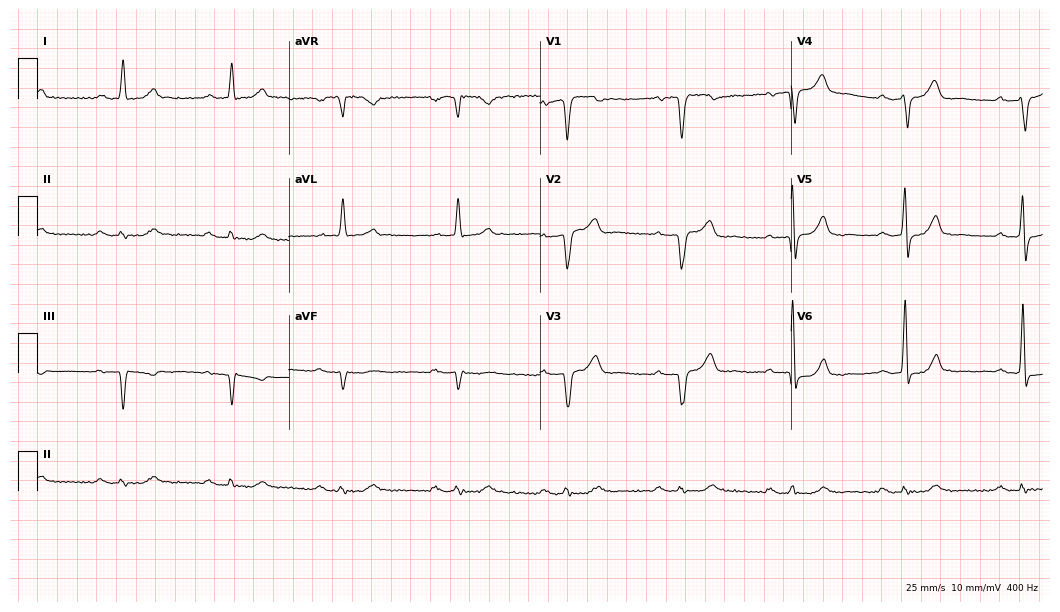
Electrocardiogram, a 75-year-old male patient. Interpretation includes first-degree AV block, right bundle branch block.